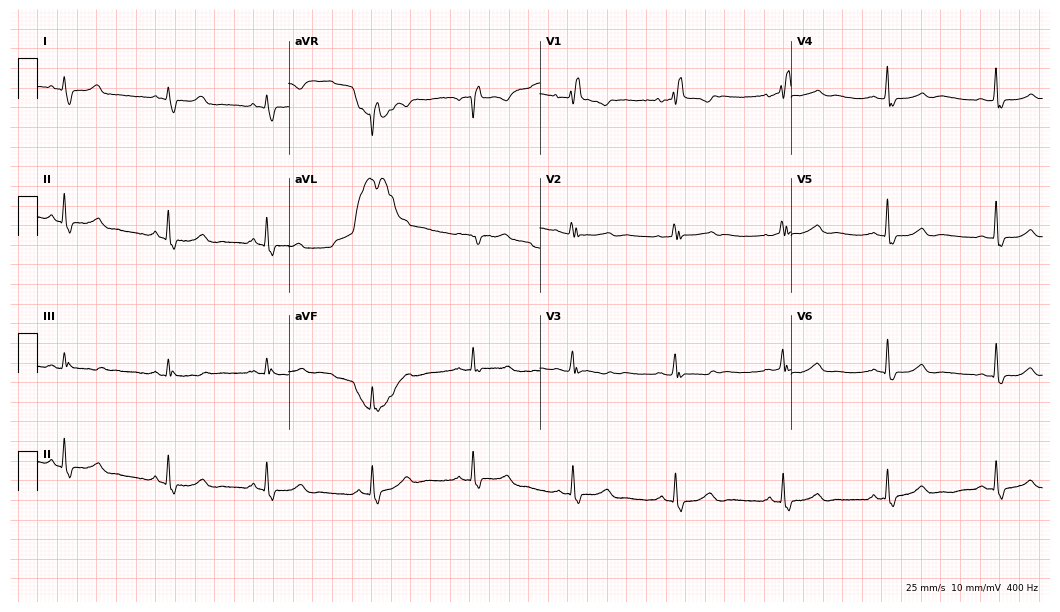
Standard 12-lead ECG recorded from a 53-year-old female patient. None of these six findings is recorded: first-degree AV block, right bundle branch block, left bundle branch block, sinus bradycardia, atrial fibrillation, sinus tachycardia.